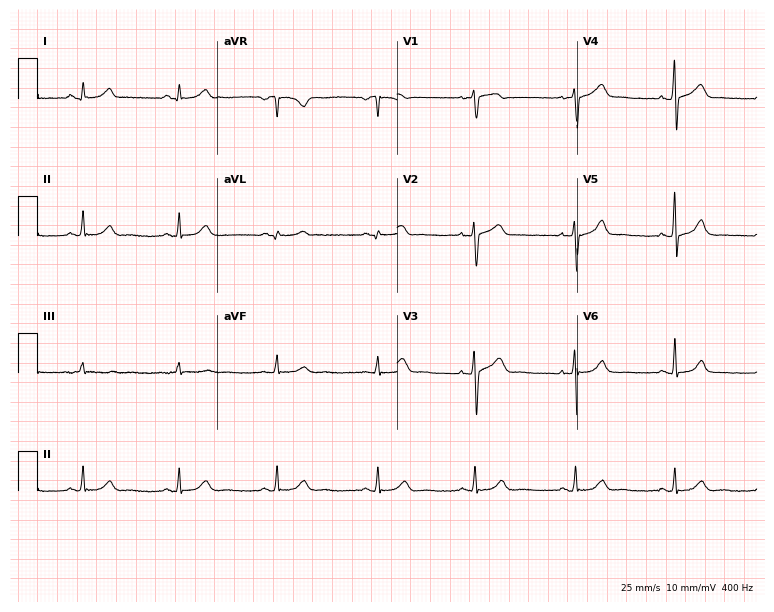
12-lead ECG from a male, 38 years old. Recorded interpretation: within normal limits.